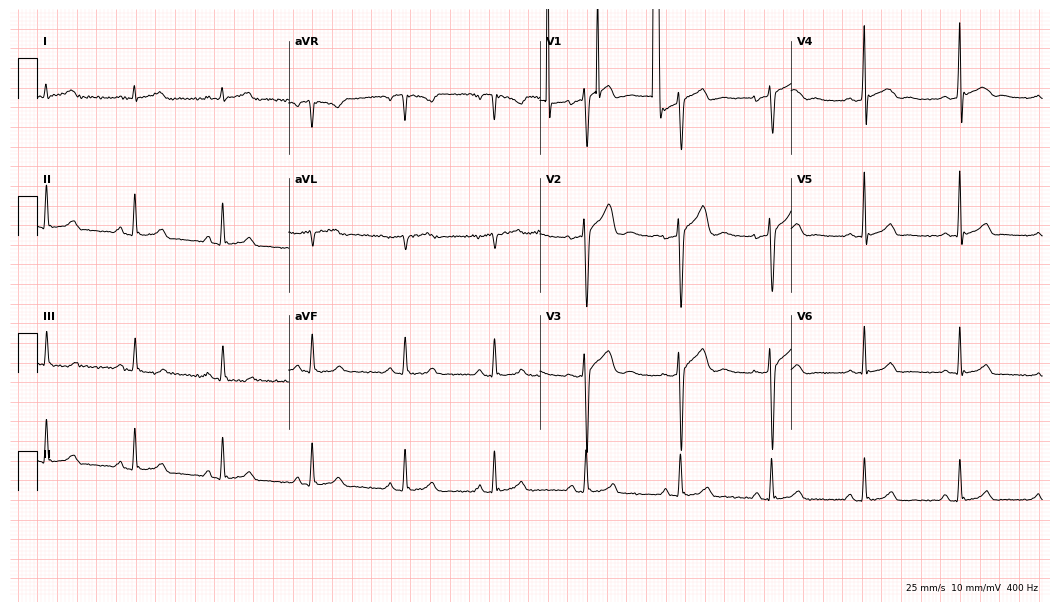
ECG (10.2-second recording at 400 Hz) — a woman, 21 years old. Screened for six findings — first-degree AV block, right bundle branch block, left bundle branch block, sinus bradycardia, atrial fibrillation, sinus tachycardia — none is recorded.